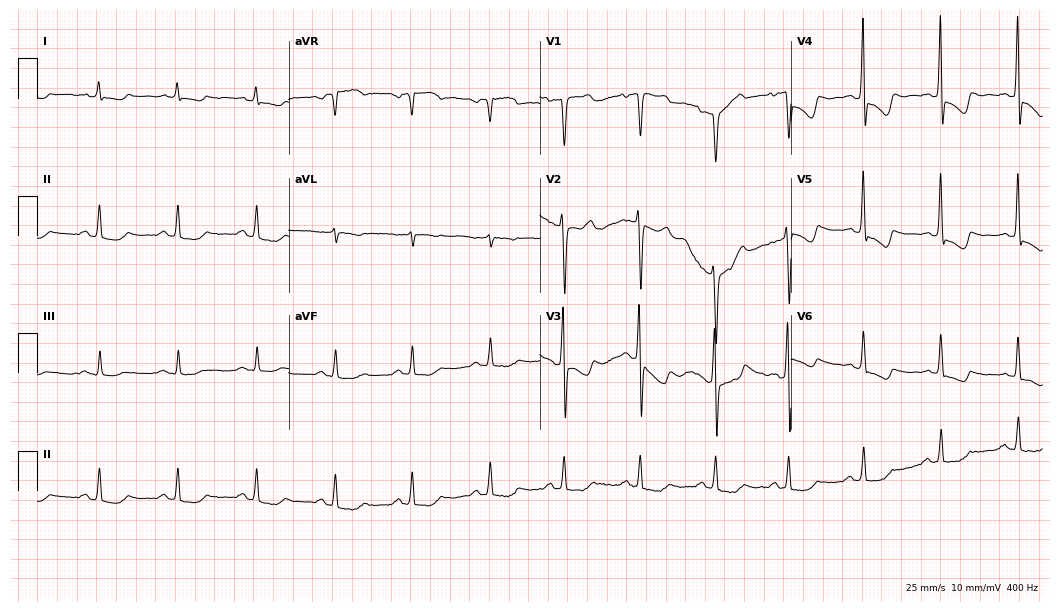
Electrocardiogram, a man, 84 years old. Of the six screened findings (first-degree AV block, right bundle branch block (RBBB), left bundle branch block (LBBB), sinus bradycardia, atrial fibrillation (AF), sinus tachycardia), none is recorded. Other findings, if any, are not listed.